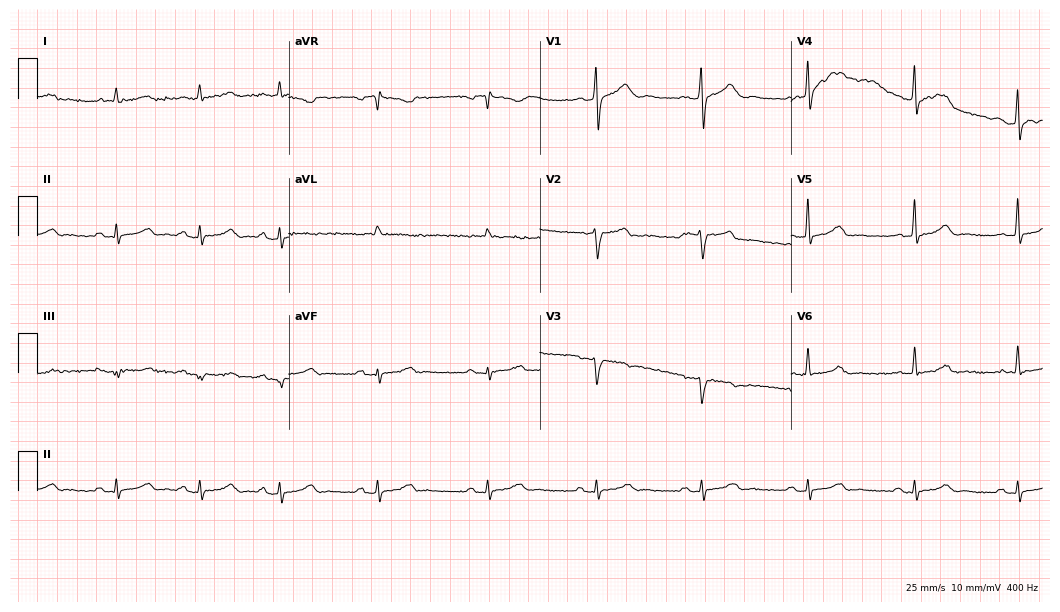
Electrocardiogram (10.2-second recording at 400 Hz), a 44-year-old man. Overall reading on record: normal ECG.